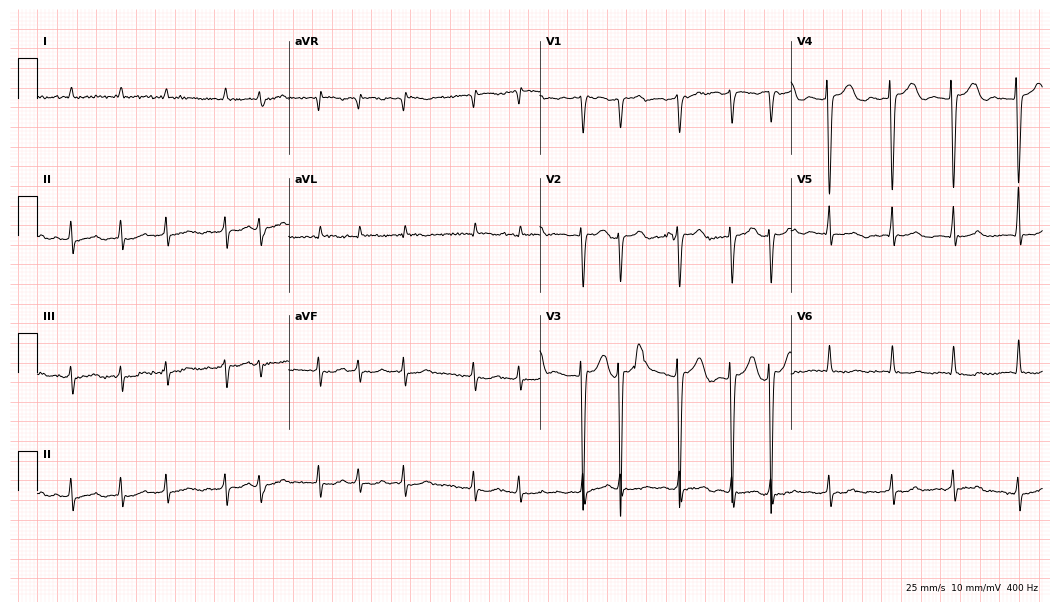
12-lead ECG from a man, 80 years old. Shows atrial fibrillation (AF).